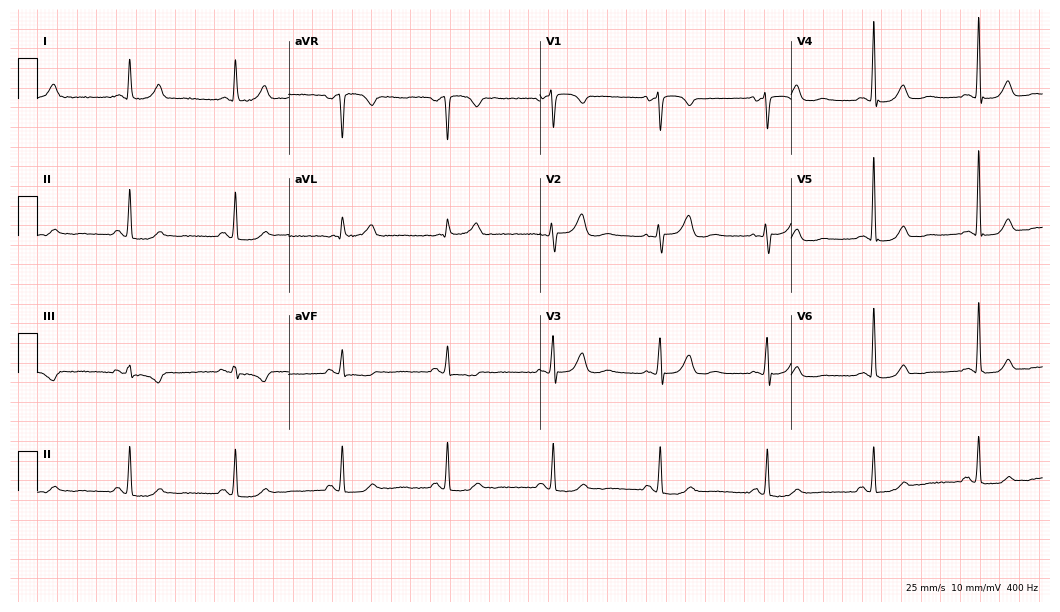
ECG (10.2-second recording at 400 Hz) — a woman, 80 years old. Labelled as a normal ECG.